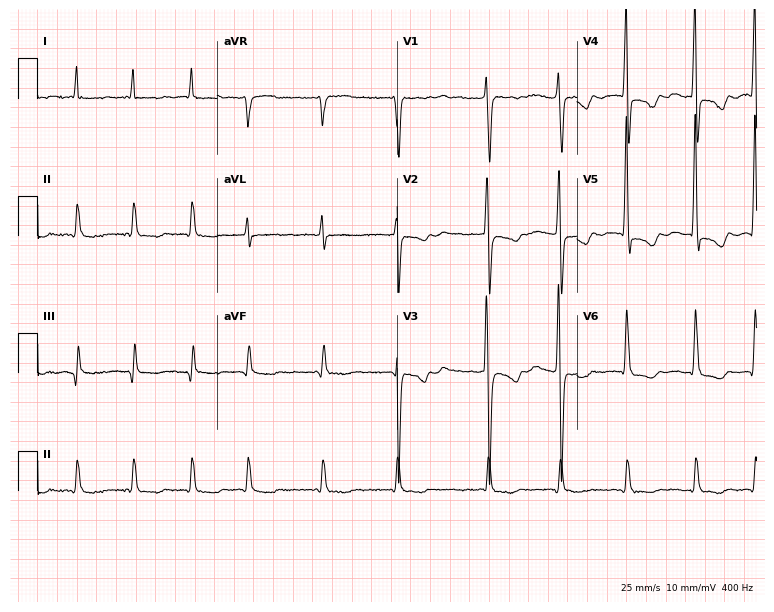
12-lead ECG (7.3-second recording at 400 Hz) from a male, 72 years old. Findings include atrial fibrillation.